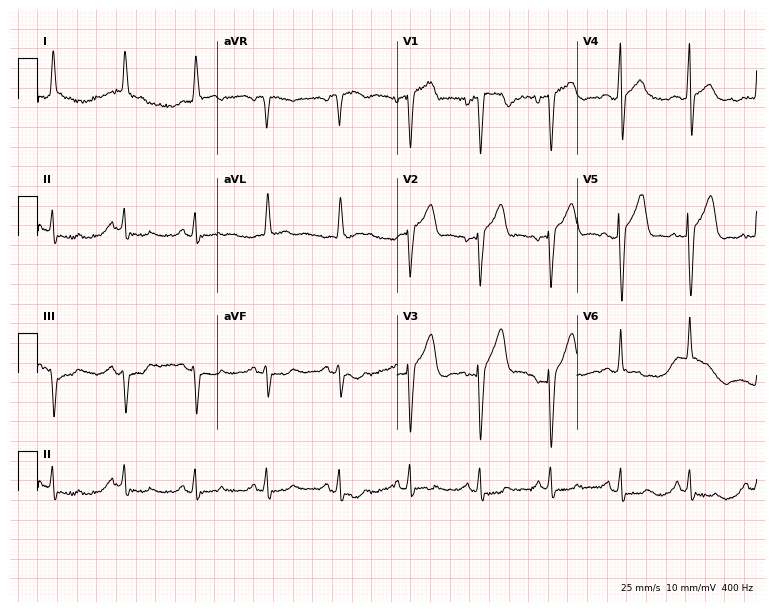
Standard 12-lead ECG recorded from a 76-year-old male. None of these six findings is recorded: first-degree AV block, right bundle branch block (RBBB), left bundle branch block (LBBB), sinus bradycardia, atrial fibrillation (AF), sinus tachycardia.